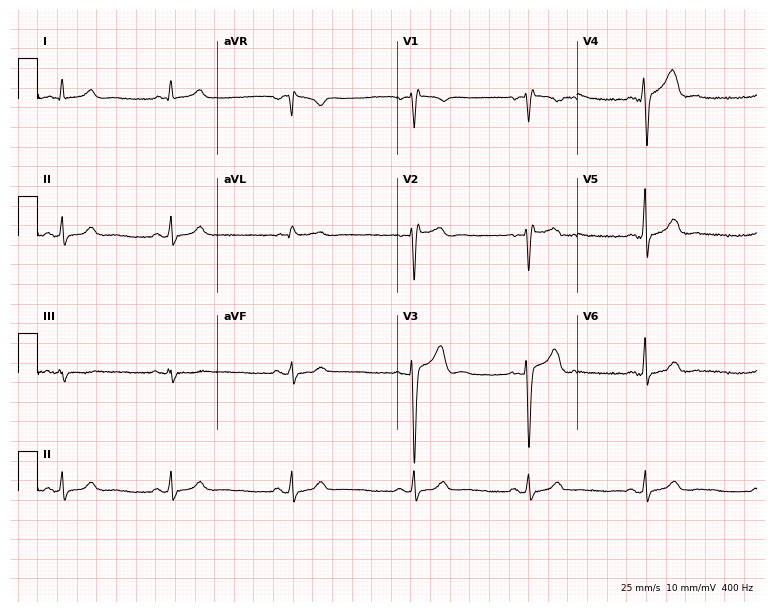
ECG — a 38-year-old male. Screened for six findings — first-degree AV block, right bundle branch block, left bundle branch block, sinus bradycardia, atrial fibrillation, sinus tachycardia — none is recorded.